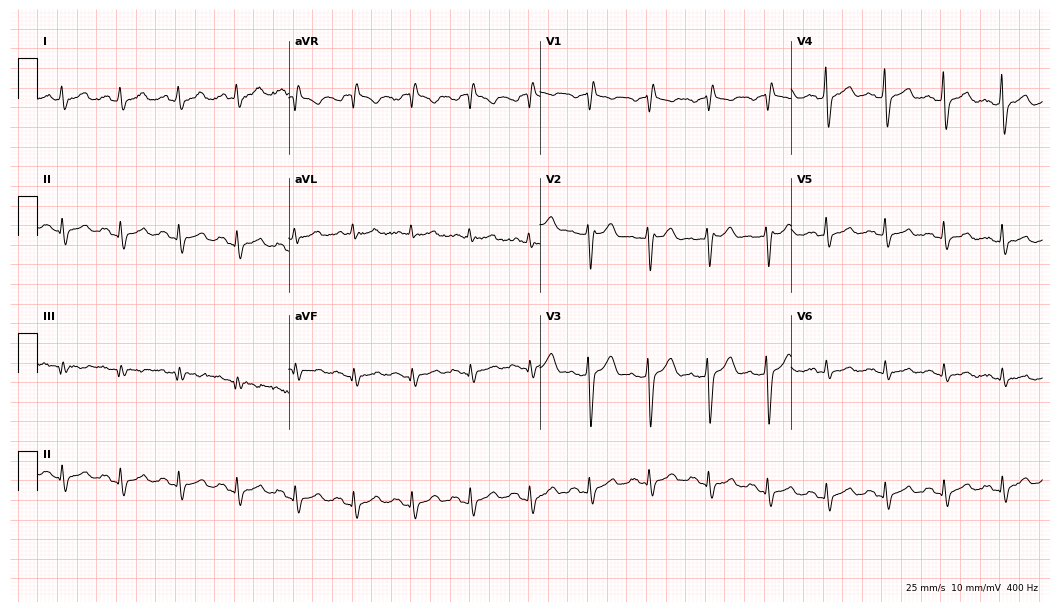
Standard 12-lead ECG recorded from a male patient, 47 years old (10.2-second recording at 400 Hz). The tracing shows right bundle branch block.